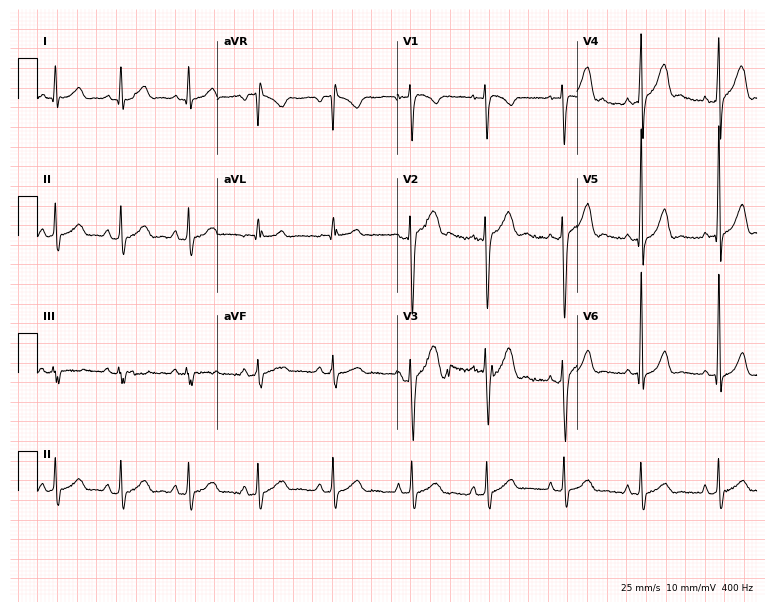
Electrocardiogram, a male, 22 years old. Of the six screened findings (first-degree AV block, right bundle branch block, left bundle branch block, sinus bradycardia, atrial fibrillation, sinus tachycardia), none is recorded.